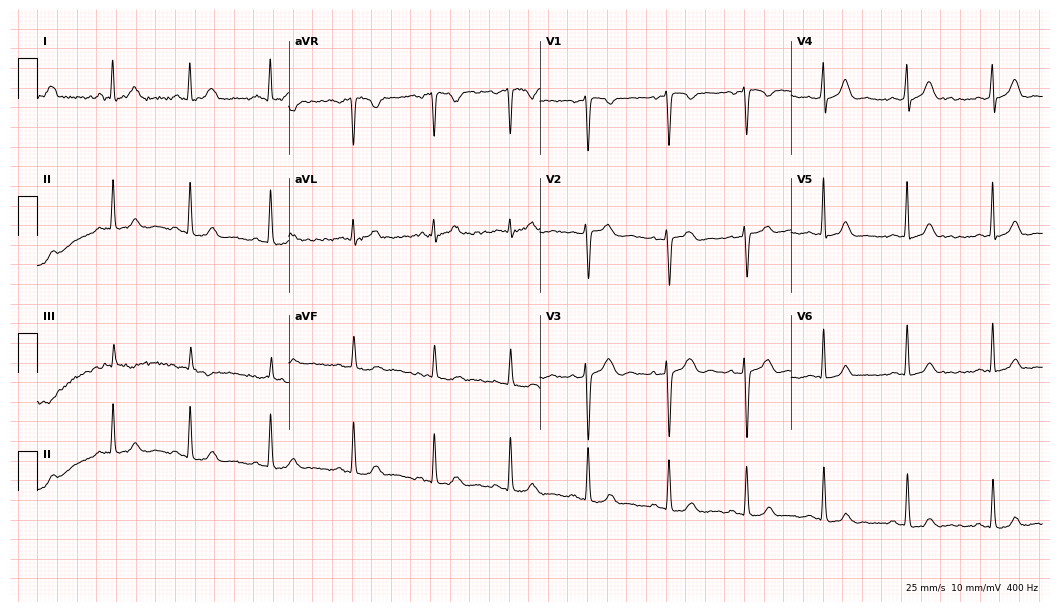
Resting 12-lead electrocardiogram (10.2-second recording at 400 Hz). Patient: a 39-year-old female. None of these six findings is recorded: first-degree AV block, right bundle branch block (RBBB), left bundle branch block (LBBB), sinus bradycardia, atrial fibrillation (AF), sinus tachycardia. Other findings, if any, are not listed.